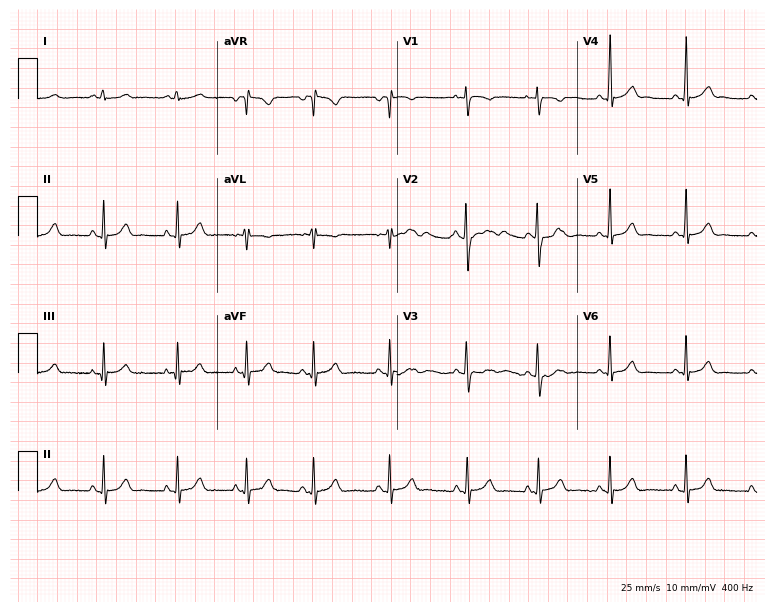
12-lead ECG (7.3-second recording at 400 Hz) from a 20-year-old female. Labelled as a normal ECG.